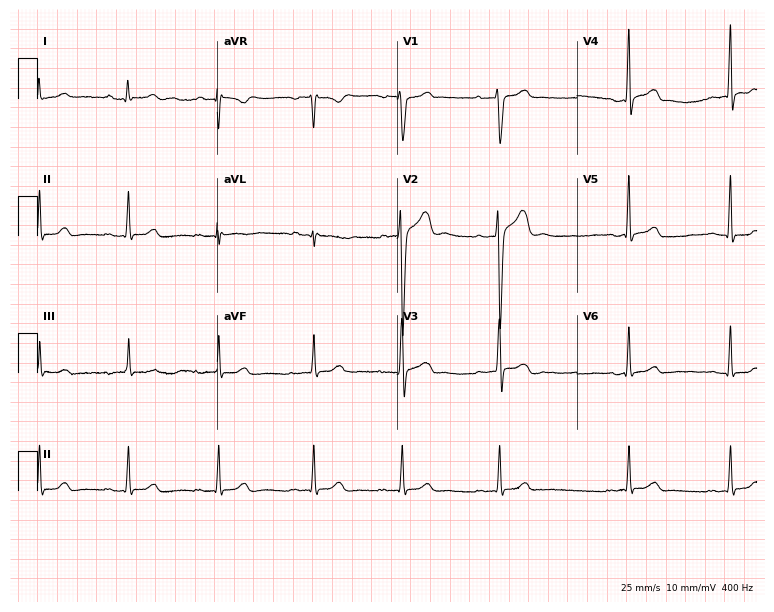
Resting 12-lead electrocardiogram (7.3-second recording at 400 Hz). Patient: a 20-year-old man. None of these six findings is recorded: first-degree AV block, right bundle branch block, left bundle branch block, sinus bradycardia, atrial fibrillation, sinus tachycardia. Findings outside these six are not listed.